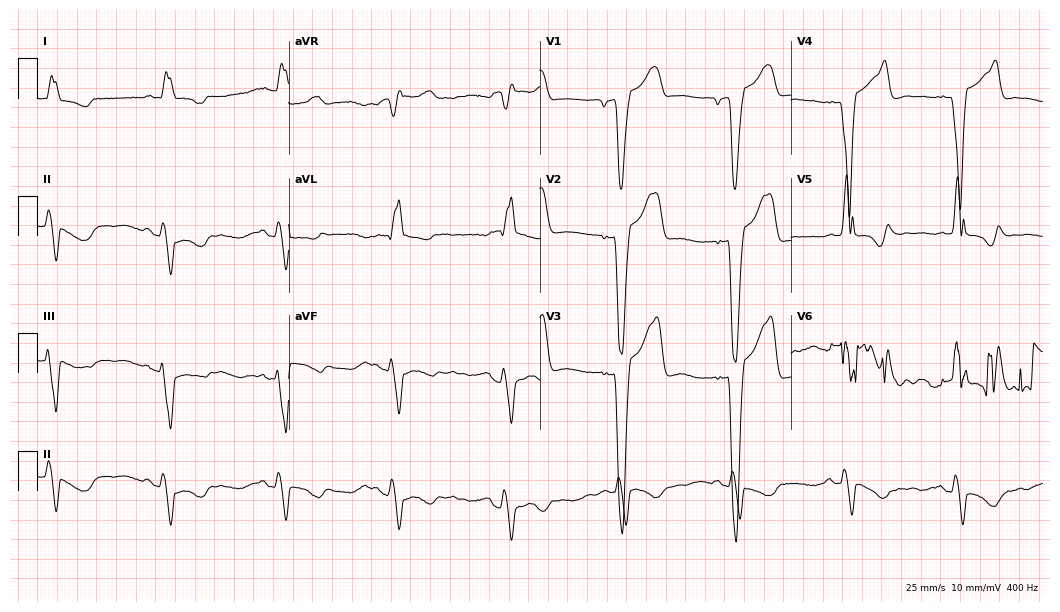
ECG (10.2-second recording at 400 Hz) — a 75-year-old male. Findings include left bundle branch block (LBBB).